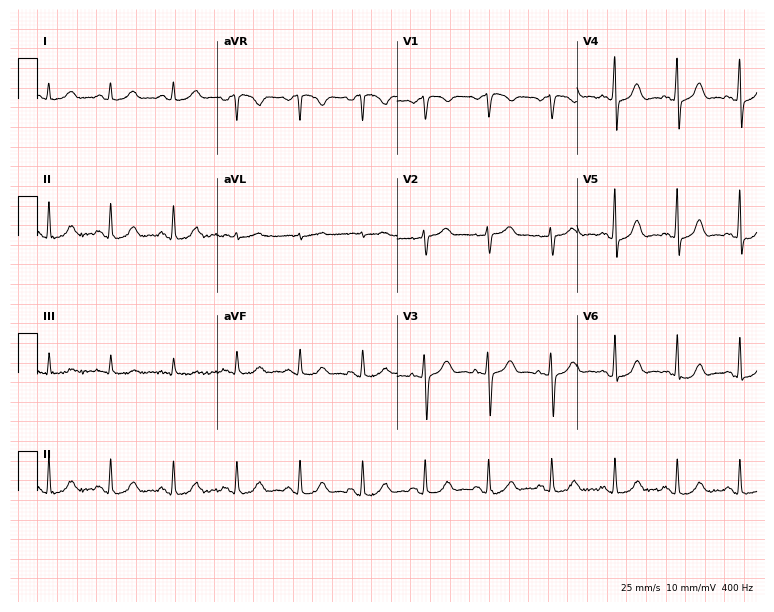
12-lead ECG from a woman, 44 years old. No first-degree AV block, right bundle branch block, left bundle branch block, sinus bradycardia, atrial fibrillation or sinus tachycardia recorded for this tracing.